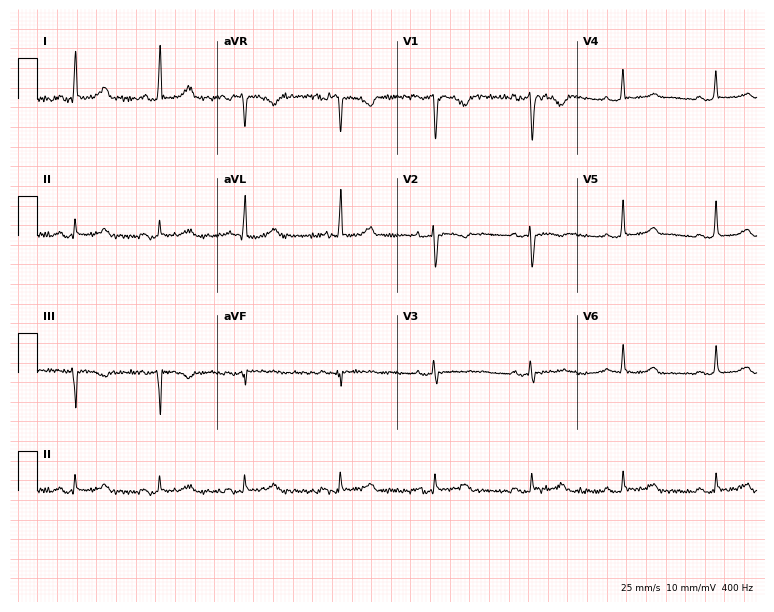
Standard 12-lead ECG recorded from a woman, 43 years old (7.3-second recording at 400 Hz). Read as a normal ECG.